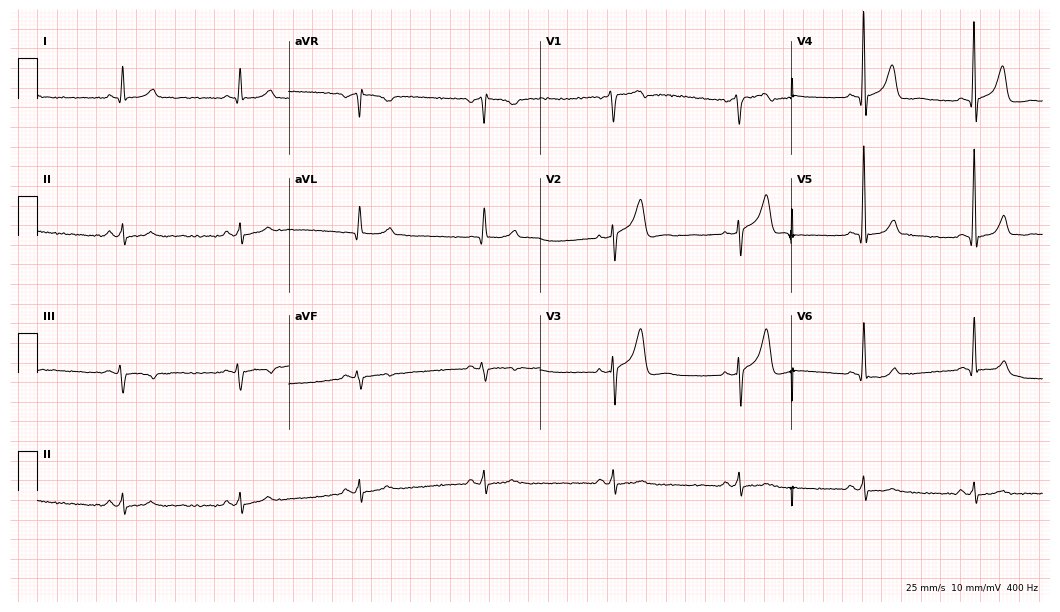
Electrocardiogram, a 63-year-old male. Of the six screened findings (first-degree AV block, right bundle branch block, left bundle branch block, sinus bradycardia, atrial fibrillation, sinus tachycardia), none is recorded.